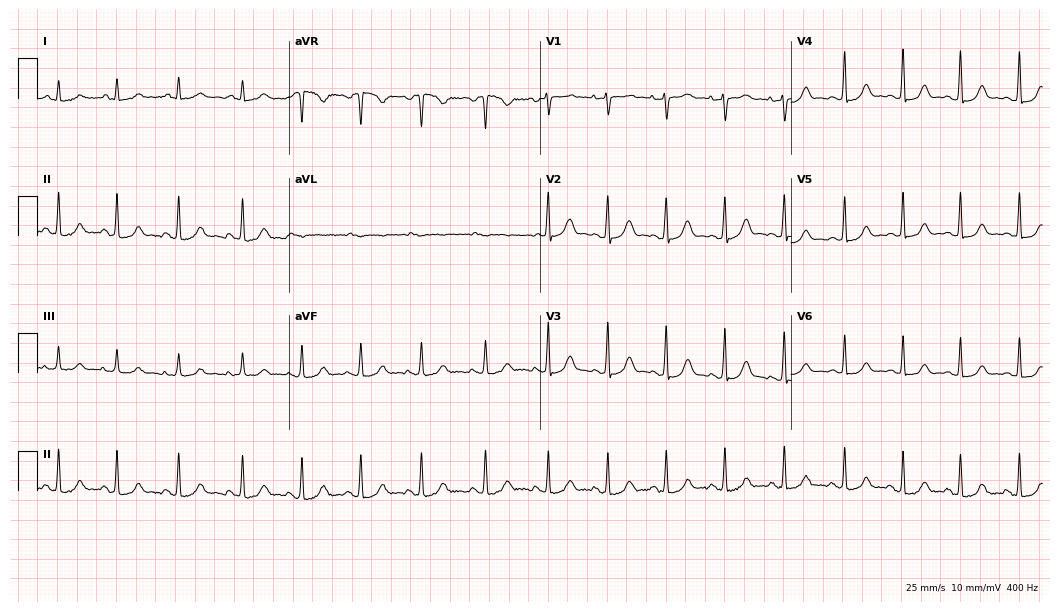
Standard 12-lead ECG recorded from a female patient, 25 years old (10.2-second recording at 400 Hz). None of these six findings is recorded: first-degree AV block, right bundle branch block, left bundle branch block, sinus bradycardia, atrial fibrillation, sinus tachycardia. Other findings, if any, are not listed.